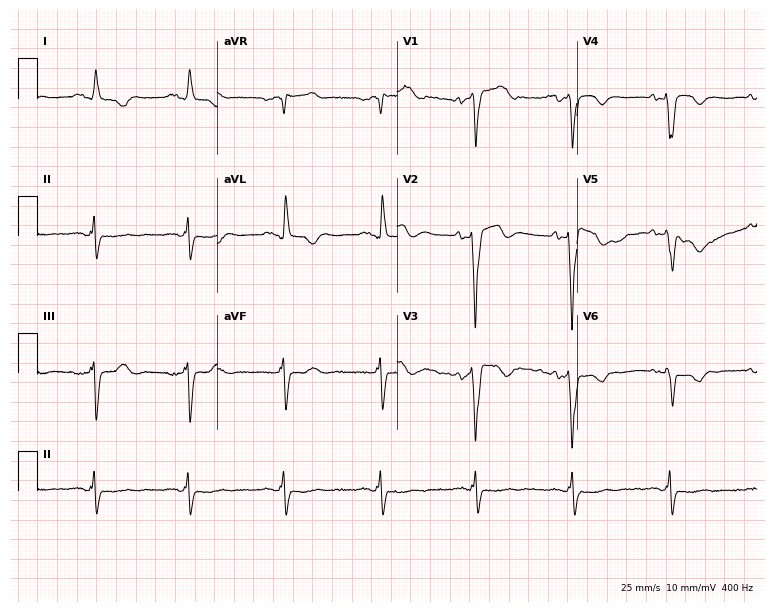
12-lead ECG (7.3-second recording at 400 Hz) from a man, 68 years old. Screened for six findings — first-degree AV block, right bundle branch block (RBBB), left bundle branch block (LBBB), sinus bradycardia, atrial fibrillation (AF), sinus tachycardia — none is recorded. Other findings, if any, are not listed.